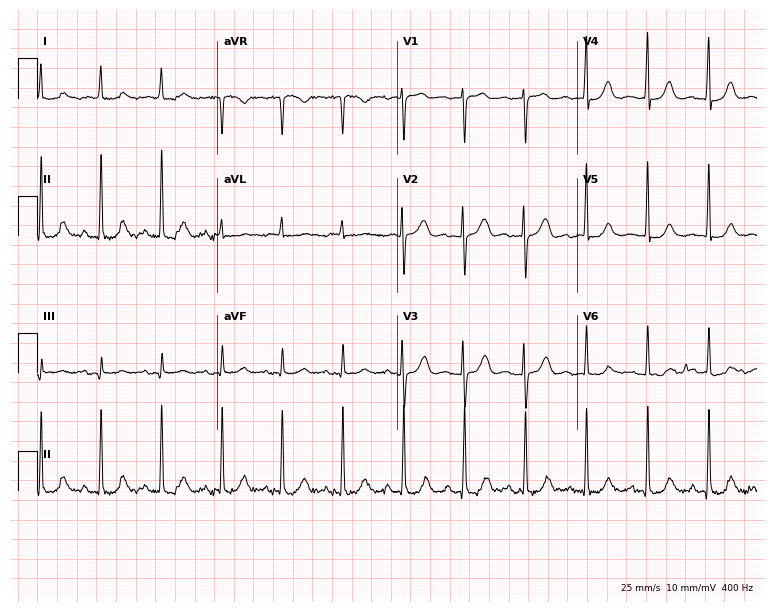
Electrocardiogram (7.3-second recording at 400 Hz), an 80-year-old female. Of the six screened findings (first-degree AV block, right bundle branch block, left bundle branch block, sinus bradycardia, atrial fibrillation, sinus tachycardia), none is recorded. Only these six findings were labelled.